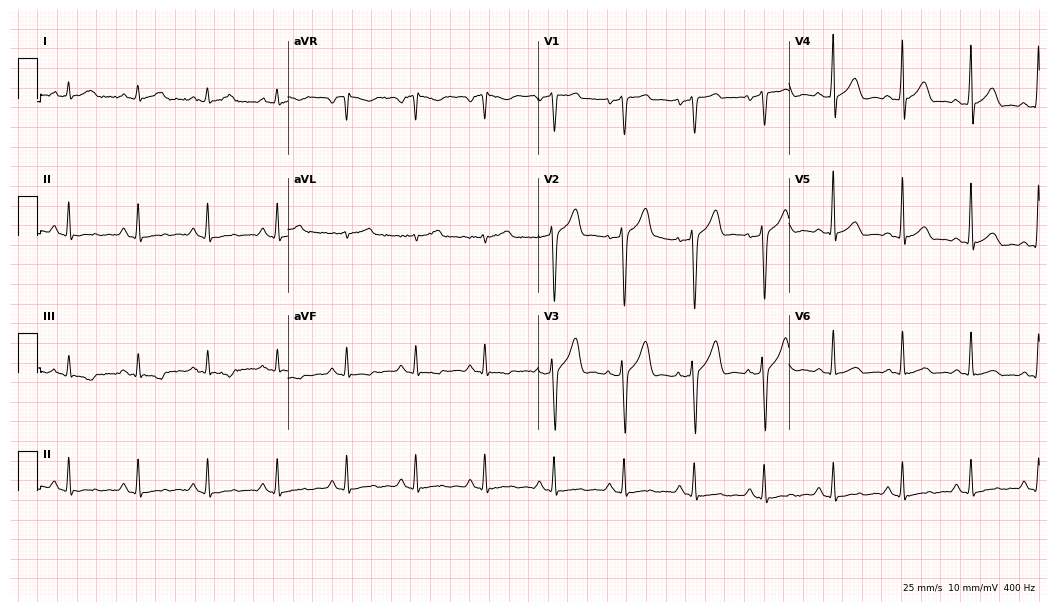
ECG (10.2-second recording at 400 Hz) — a 45-year-old man. Screened for six findings — first-degree AV block, right bundle branch block (RBBB), left bundle branch block (LBBB), sinus bradycardia, atrial fibrillation (AF), sinus tachycardia — none is recorded.